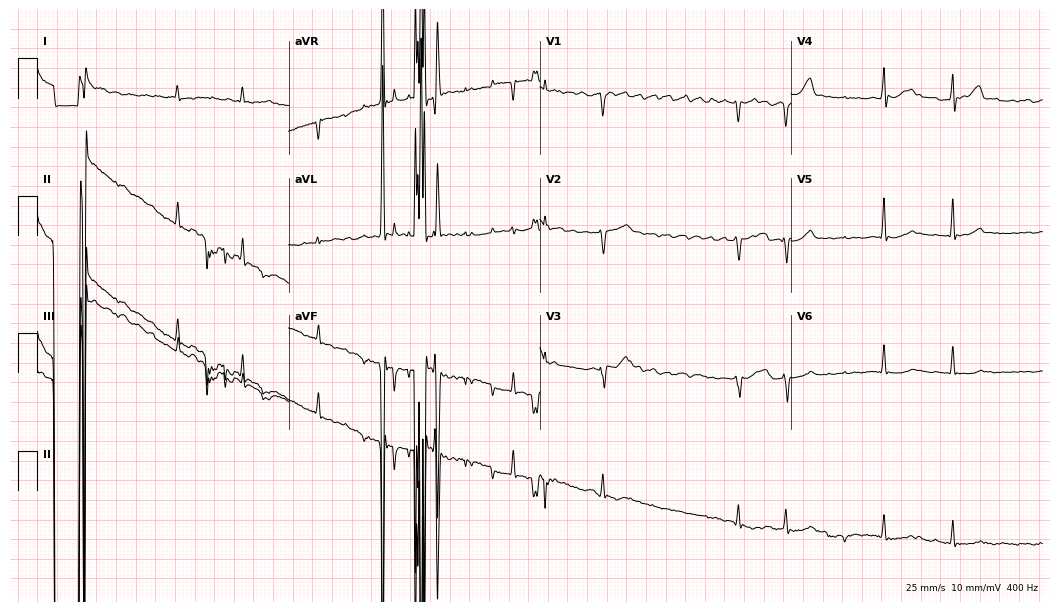
ECG (10.2-second recording at 400 Hz) — a 61-year-old male. Screened for six findings — first-degree AV block, right bundle branch block, left bundle branch block, sinus bradycardia, atrial fibrillation, sinus tachycardia — none is recorded.